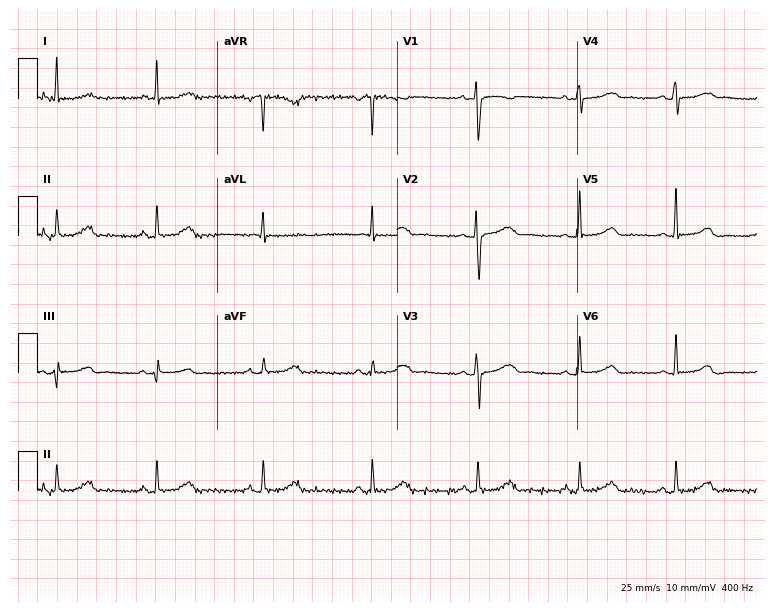
12-lead ECG (7.3-second recording at 400 Hz) from a 57-year-old female patient. Screened for six findings — first-degree AV block, right bundle branch block, left bundle branch block, sinus bradycardia, atrial fibrillation, sinus tachycardia — none is recorded. Other findings, if any, are not listed.